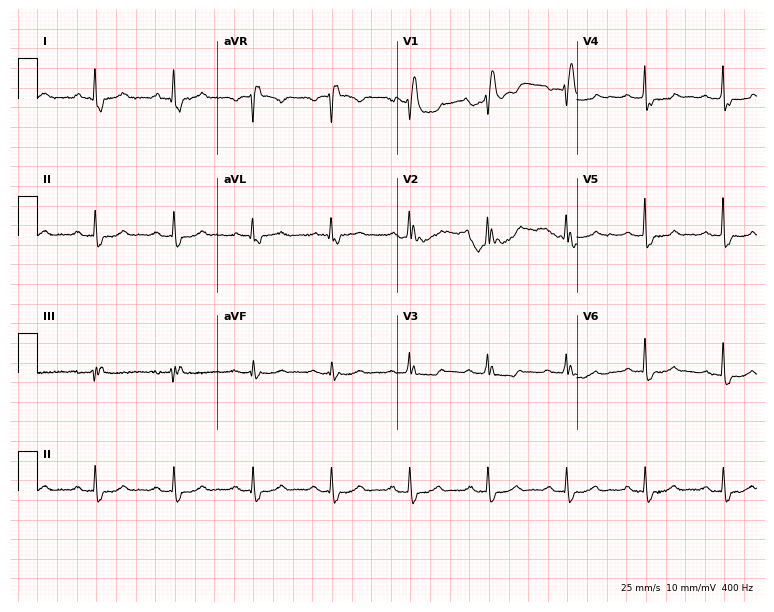
ECG — a 73-year-old male patient. Findings include right bundle branch block.